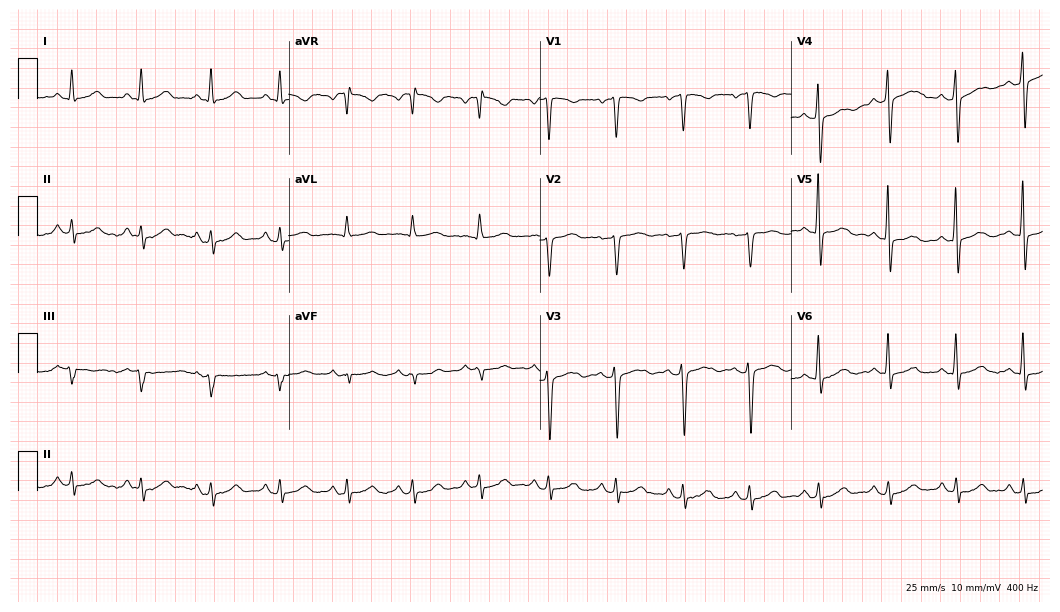
Electrocardiogram (10.2-second recording at 400 Hz), a woman, 50 years old. Of the six screened findings (first-degree AV block, right bundle branch block, left bundle branch block, sinus bradycardia, atrial fibrillation, sinus tachycardia), none is recorded.